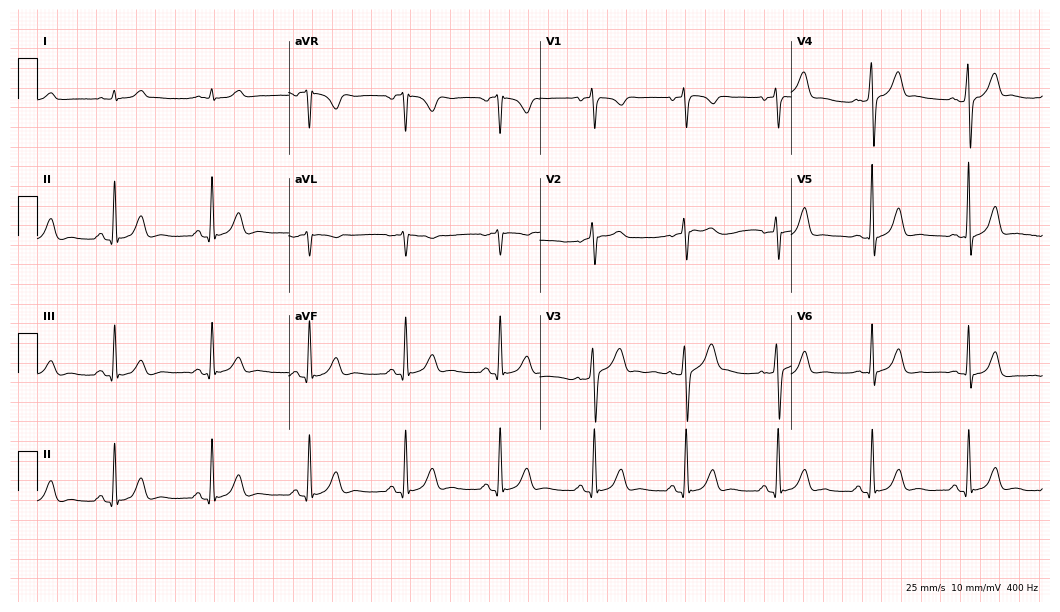
Electrocardiogram, a 32-year-old man. Overall reading on record: normal ECG.